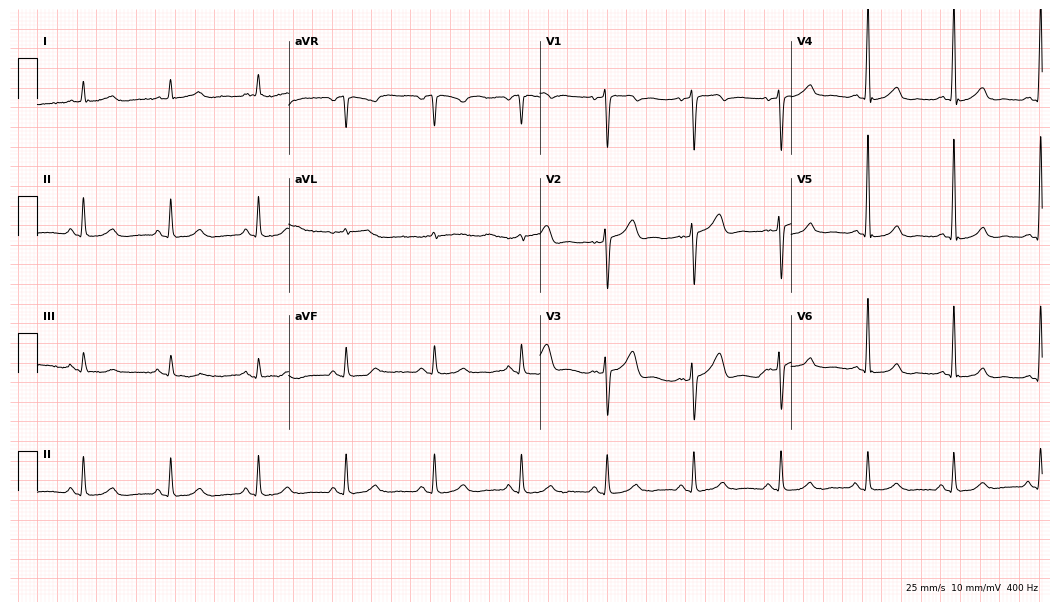
Electrocardiogram, a male, 50 years old. Overall reading on record: normal ECG.